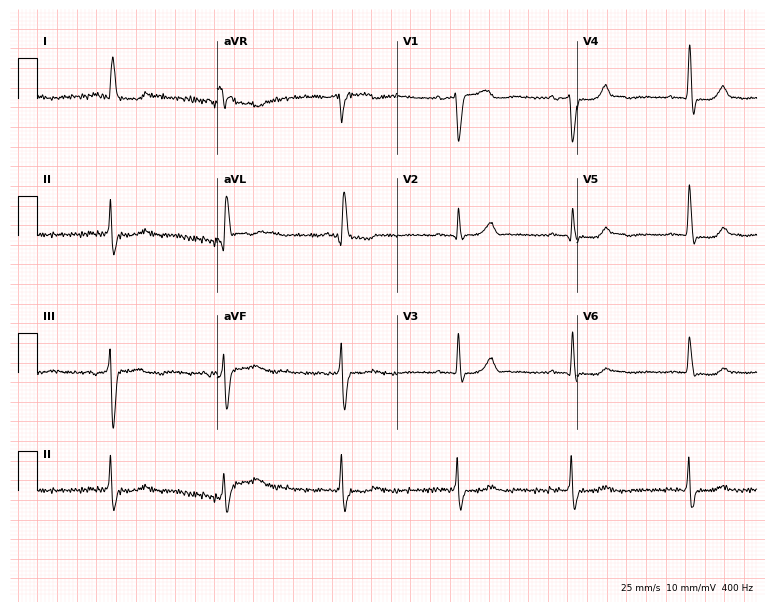
12-lead ECG (7.3-second recording at 400 Hz) from a female, 74 years old. Screened for six findings — first-degree AV block, right bundle branch block, left bundle branch block, sinus bradycardia, atrial fibrillation, sinus tachycardia — none is recorded.